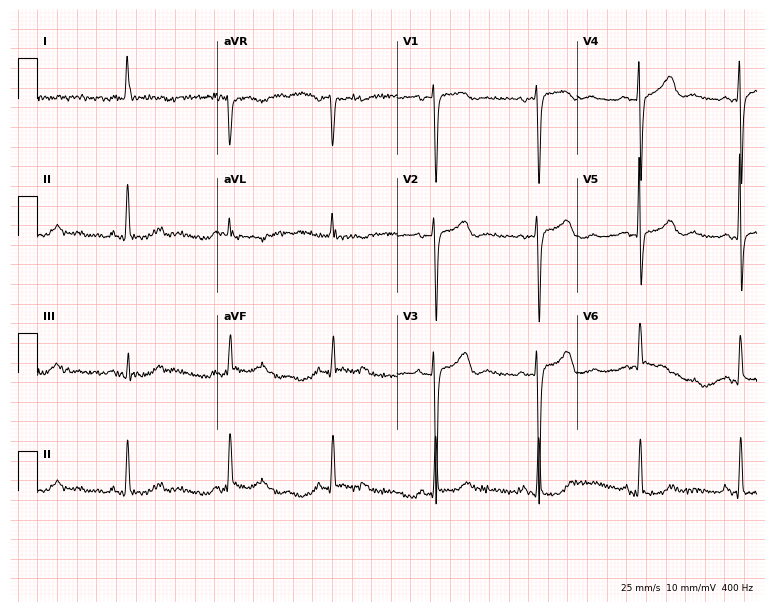
12-lead ECG from a female patient, 76 years old. No first-degree AV block, right bundle branch block, left bundle branch block, sinus bradycardia, atrial fibrillation or sinus tachycardia recorded for this tracing.